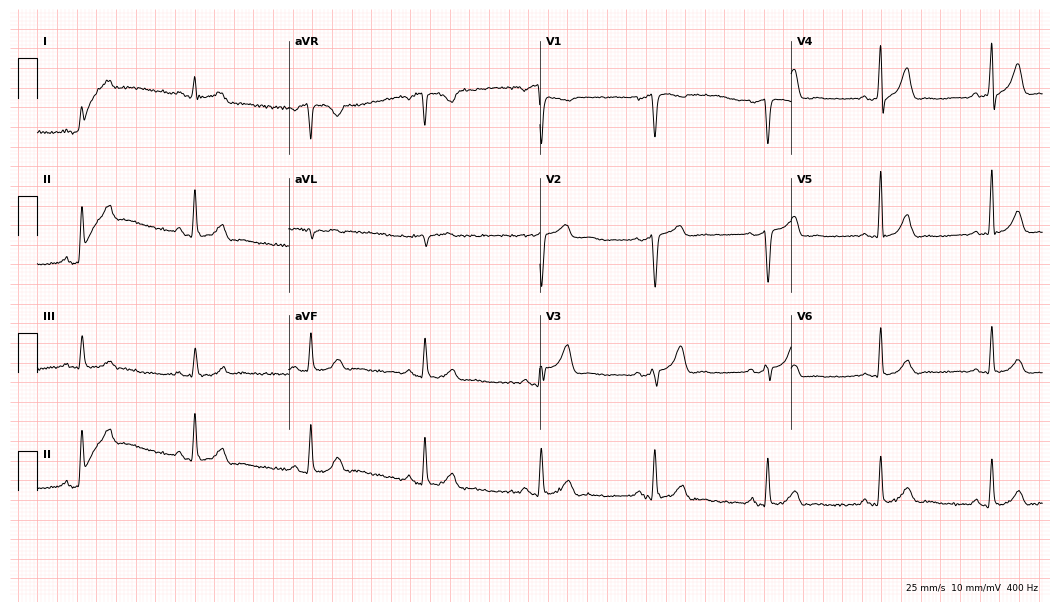
Standard 12-lead ECG recorded from a 60-year-old male patient (10.2-second recording at 400 Hz). None of these six findings is recorded: first-degree AV block, right bundle branch block (RBBB), left bundle branch block (LBBB), sinus bradycardia, atrial fibrillation (AF), sinus tachycardia. Findings outside these six are not listed.